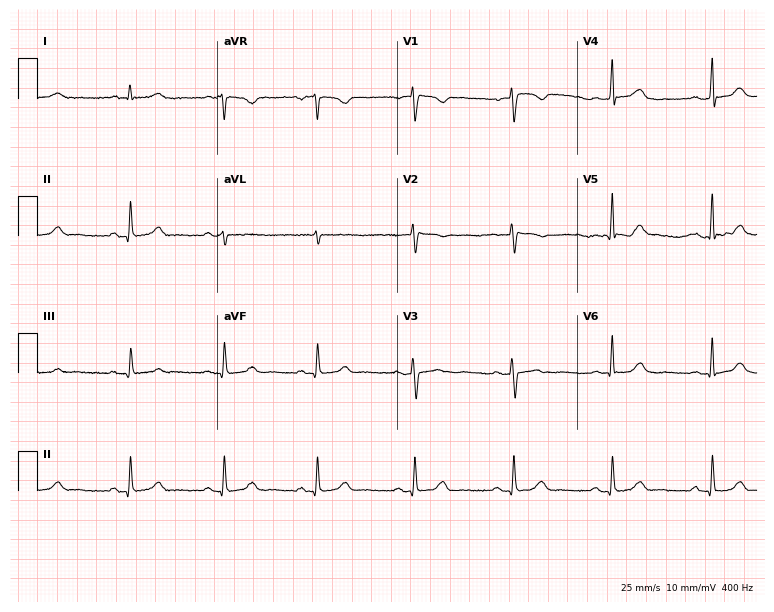
Standard 12-lead ECG recorded from a female, 58 years old (7.3-second recording at 400 Hz). Read as a normal ECG.